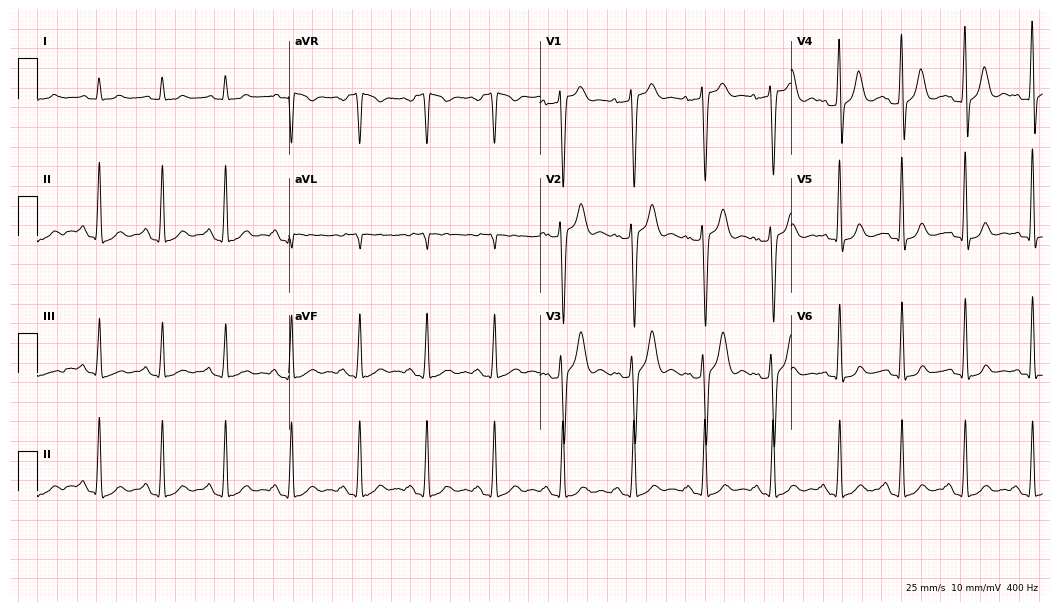
ECG (10.2-second recording at 400 Hz) — a 27-year-old man. Labelled as a normal ECG.